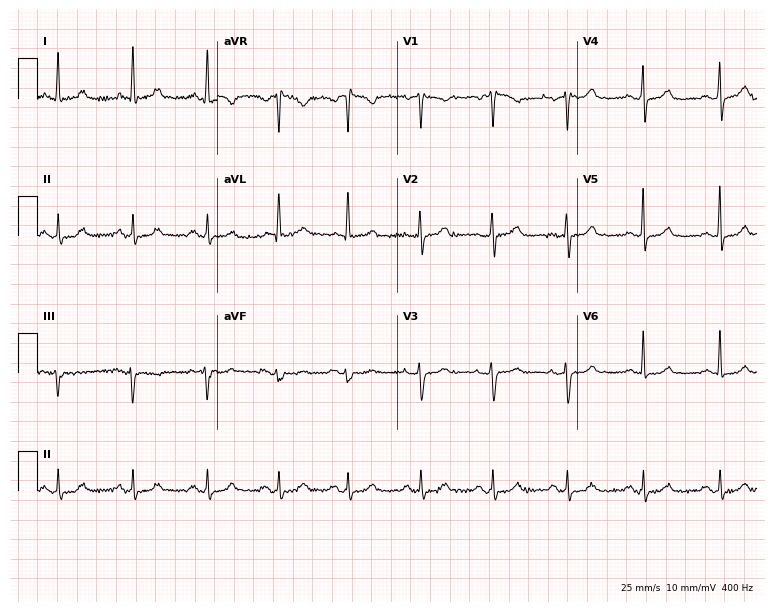
Standard 12-lead ECG recorded from a female, 66 years old (7.3-second recording at 400 Hz). None of these six findings is recorded: first-degree AV block, right bundle branch block, left bundle branch block, sinus bradycardia, atrial fibrillation, sinus tachycardia. Findings outside these six are not listed.